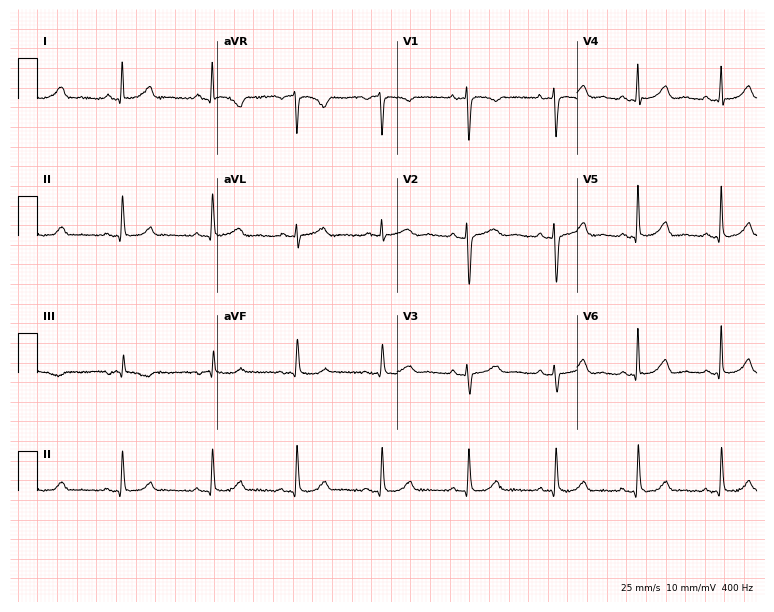
Electrocardiogram (7.3-second recording at 400 Hz), a woman, 51 years old. Overall reading on record: normal ECG.